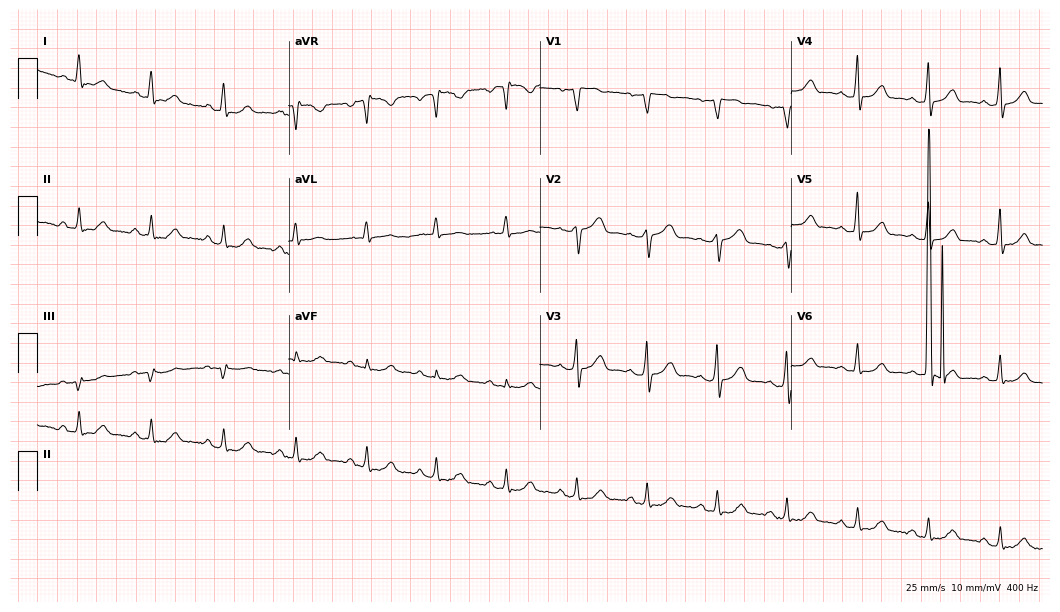
Standard 12-lead ECG recorded from a man, 59 years old. Read as a normal ECG.